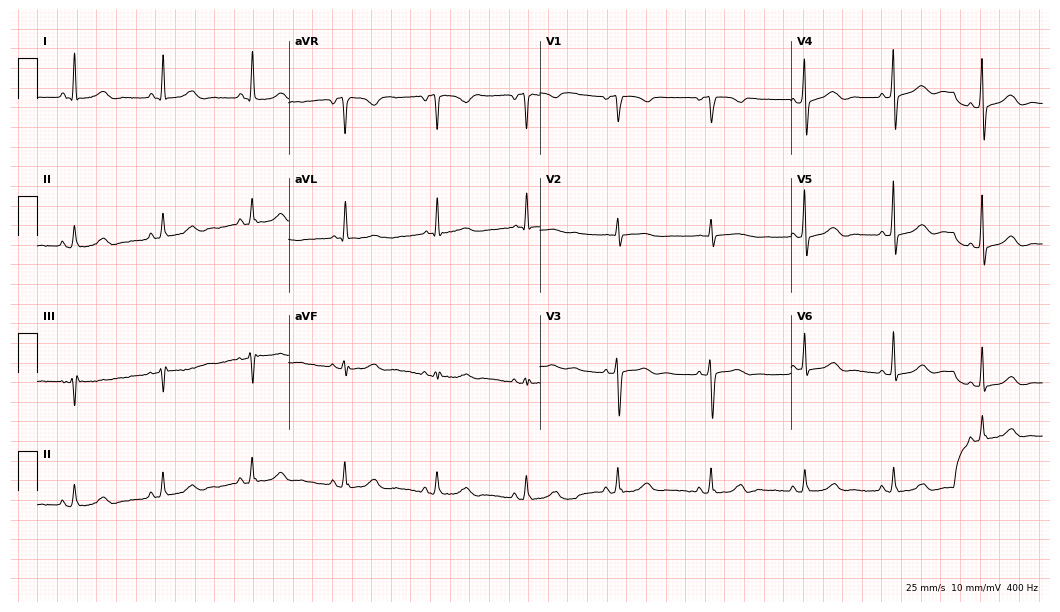
ECG — a 65-year-old female. Labelled as a normal ECG.